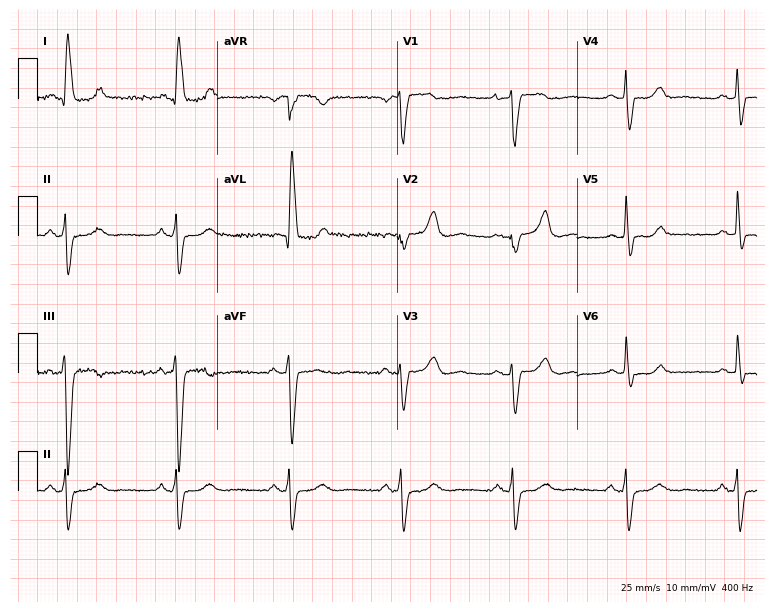
Standard 12-lead ECG recorded from an 80-year-old female (7.3-second recording at 400 Hz). None of these six findings is recorded: first-degree AV block, right bundle branch block, left bundle branch block, sinus bradycardia, atrial fibrillation, sinus tachycardia.